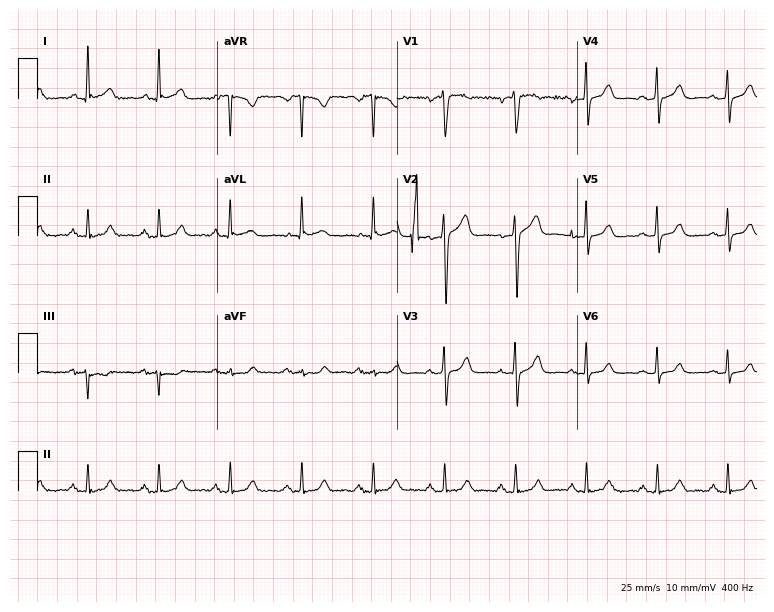
Electrocardiogram, a woman, 79 years old. Of the six screened findings (first-degree AV block, right bundle branch block (RBBB), left bundle branch block (LBBB), sinus bradycardia, atrial fibrillation (AF), sinus tachycardia), none is recorded. Only these six findings were labelled.